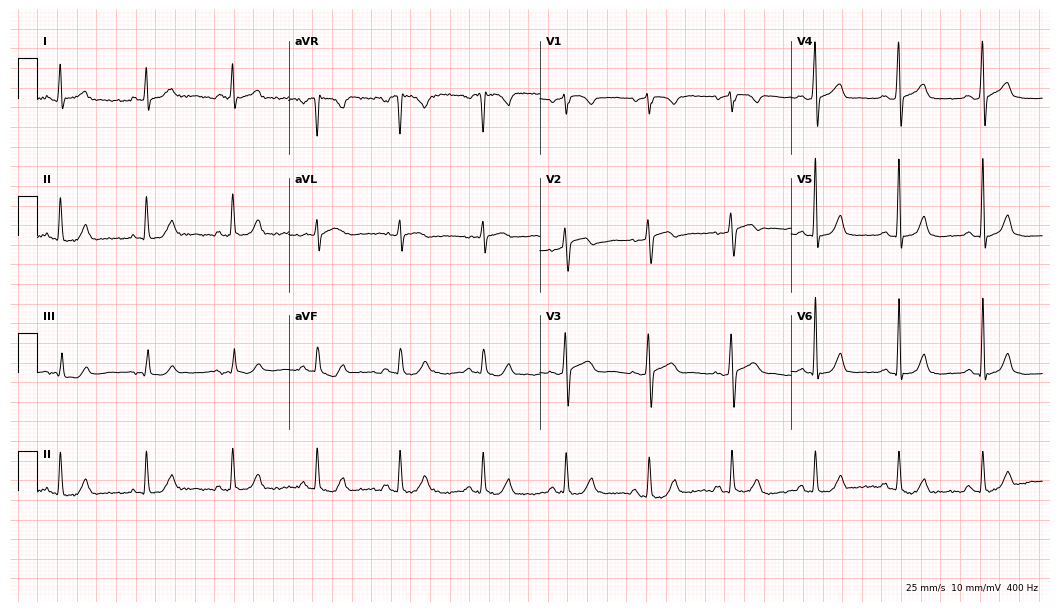
Standard 12-lead ECG recorded from a 63-year-old female. Read as a normal ECG.